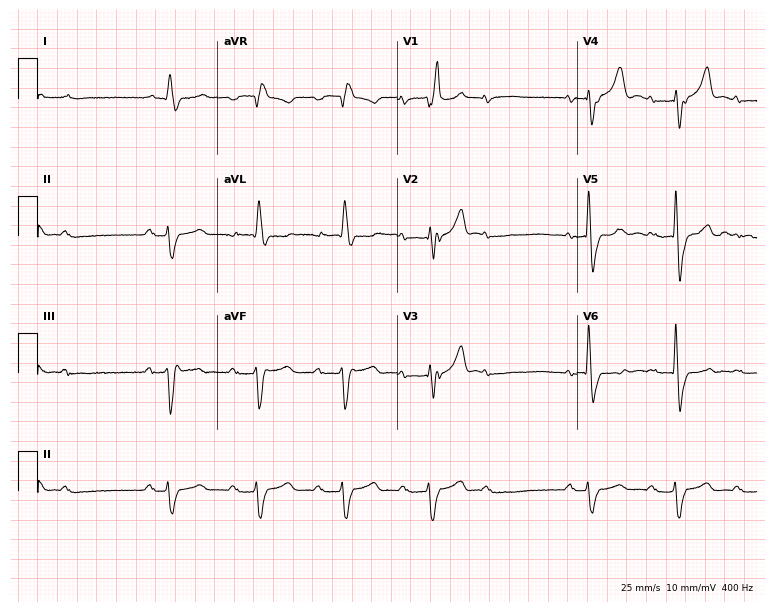
Standard 12-lead ECG recorded from a male, 81 years old. The tracing shows first-degree AV block, right bundle branch block (RBBB).